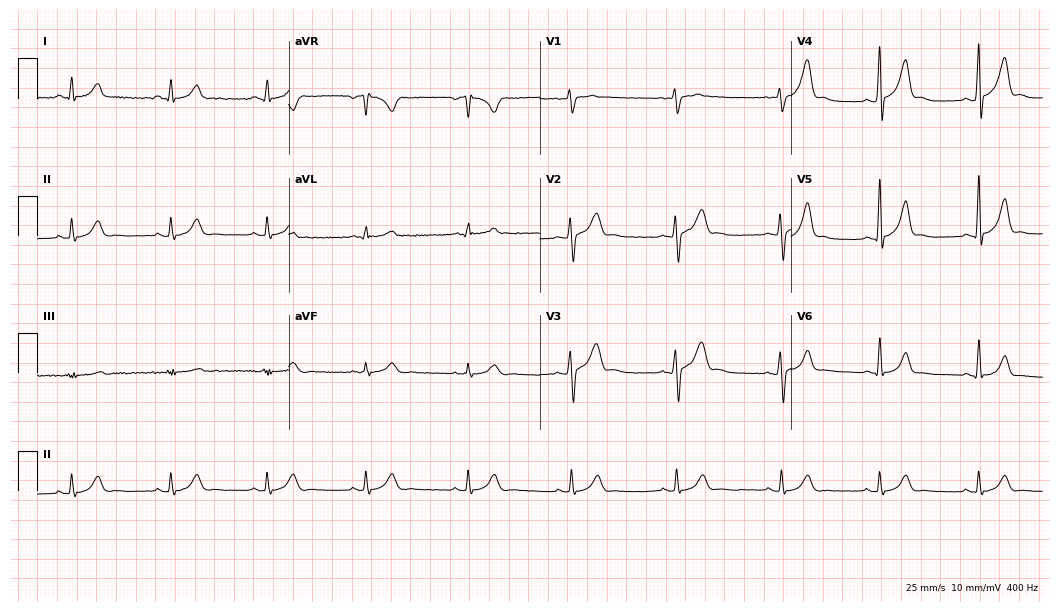
12-lead ECG from a male, 31 years old. Recorded interpretation: within normal limits.